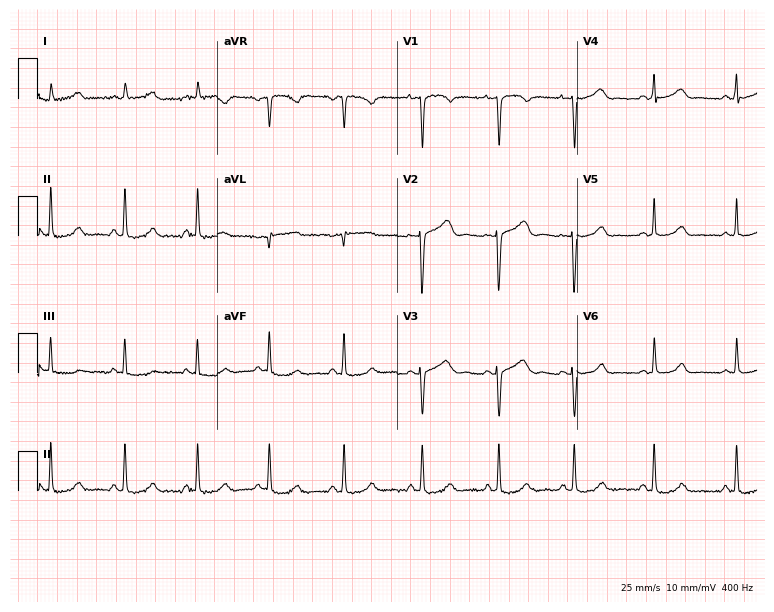
Resting 12-lead electrocardiogram. Patient: a 36-year-old woman. Read as a normal ECG.